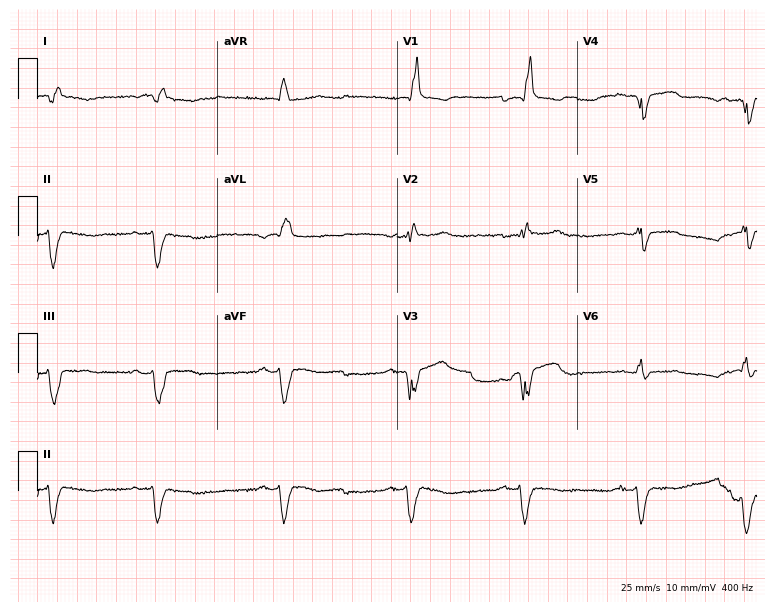
12-lead ECG (7.3-second recording at 400 Hz) from a 61-year-old male. Findings include right bundle branch block.